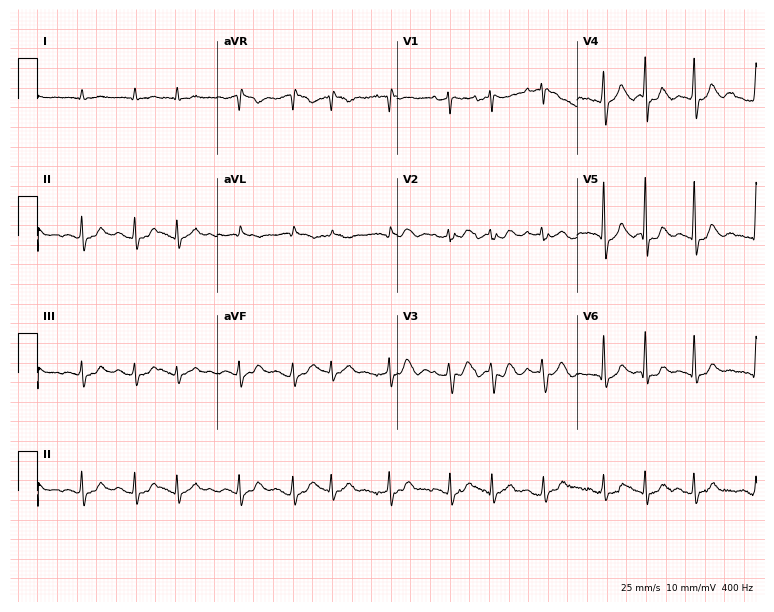
Standard 12-lead ECG recorded from a male, 19 years old. The tracing shows sinus tachycardia (a sinus rate of 100 beats per minute or more).